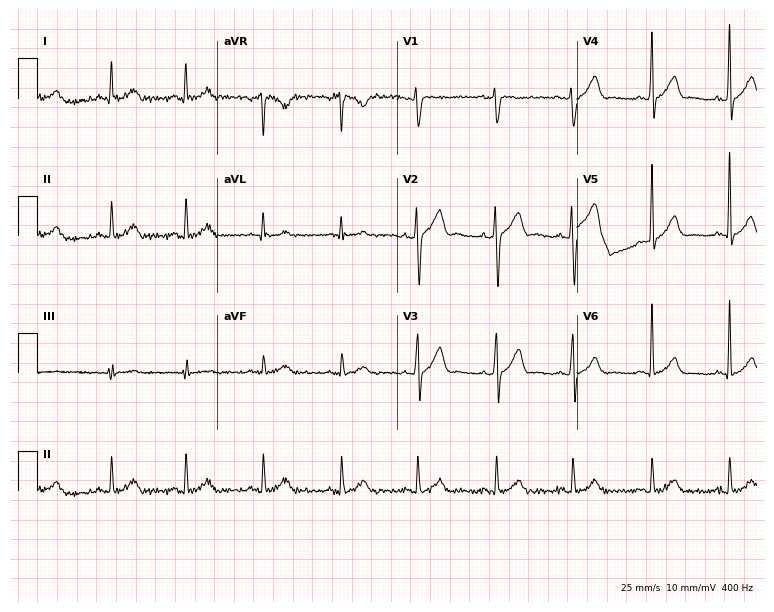
Resting 12-lead electrocardiogram (7.3-second recording at 400 Hz). Patient: a man, 37 years old. None of these six findings is recorded: first-degree AV block, right bundle branch block (RBBB), left bundle branch block (LBBB), sinus bradycardia, atrial fibrillation (AF), sinus tachycardia.